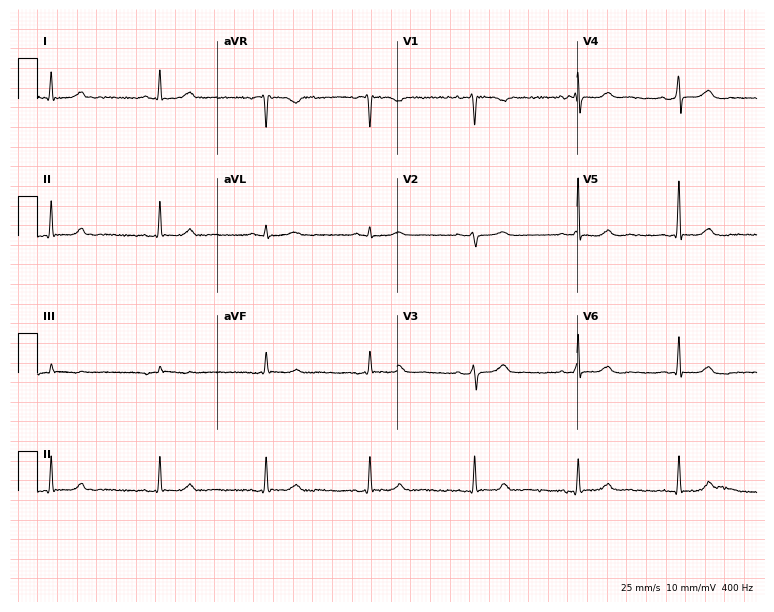
ECG — a female, 53 years old. Screened for six findings — first-degree AV block, right bundle branch block (RBBB), left bundle branch block (LBBB), sinus bradycardia, atrial fibrillation (AF), sinus tachycardia — none is recorded.